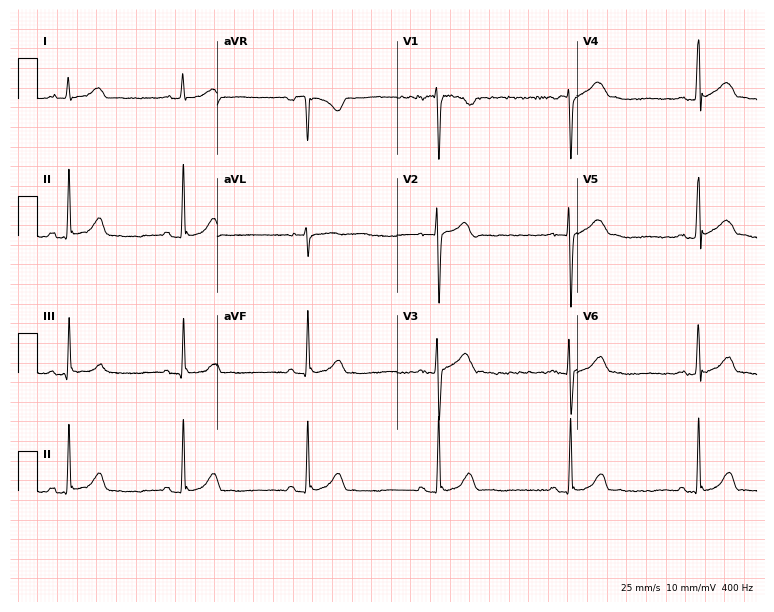
Standard 12-lead ECG recorded from a male patient, 20 years old. None of these six findings is recorded: first-degree AV block, right bundle branch block, left bundle branch block, sinus bradycardia, atrial fibrillation, sinus tachycardia. Other findings, if any, are not listed.